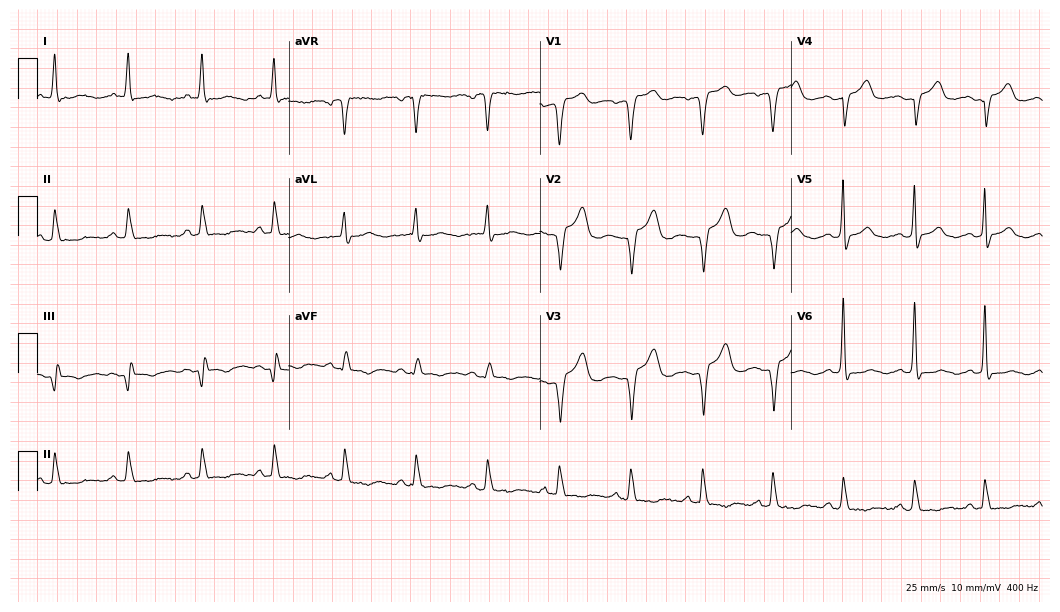
12-lead ECG from a female, 83 years old. Screened for six findings — first-degree AV block, right bundle branch block (RBBB), left bundle branch block (LBBB), sinus bradycardia, atrial fibrillation (AF), sinus tachycardia — none is recorded.